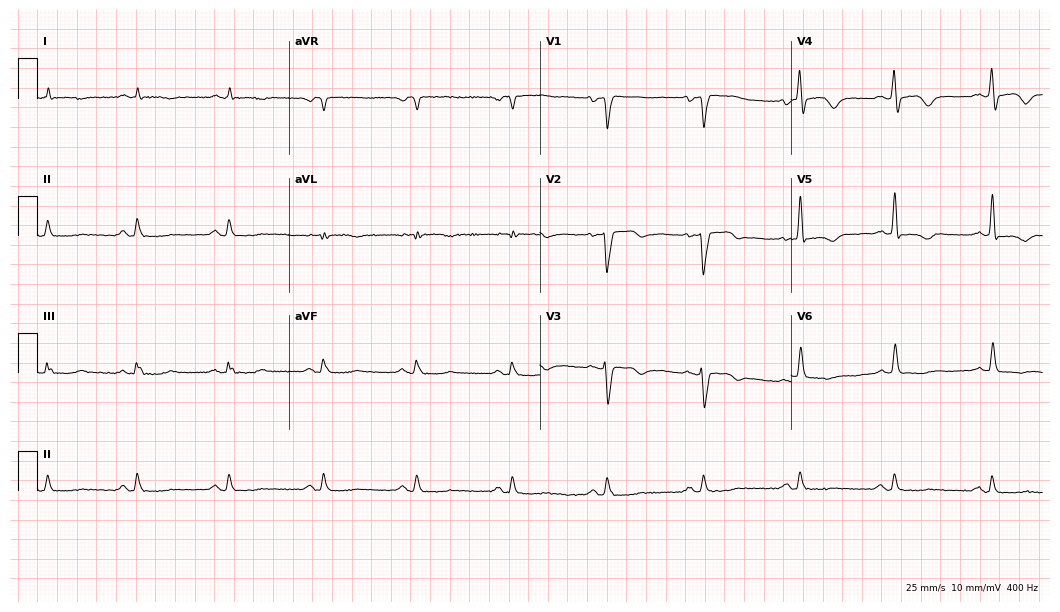
Standard 12-lead ECG recorded from a female, 83 years old (10.2-second recording at 400 Hz). None of these six findings is recorded: first-degree AV block, right bundle branch block (RBBB), left bundle branch block (LBBB), sinus bradycardia, atrial fibrillation (AF), sinus tachycardia. Findings outside these six are not listed.